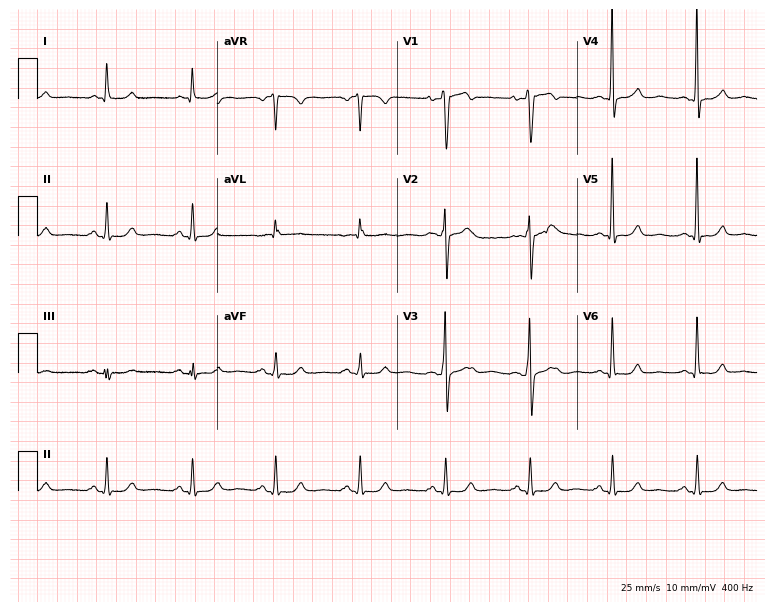
Electrocardiogram (7.3-second recording at 400 Hz), a 66-year-old man. Of the six screened findings (first-degree AV block, right bundle branch block, left bundle branch block, sinus bradycardia, atrial fibrillation, sinus tachycardia), none is recorded.